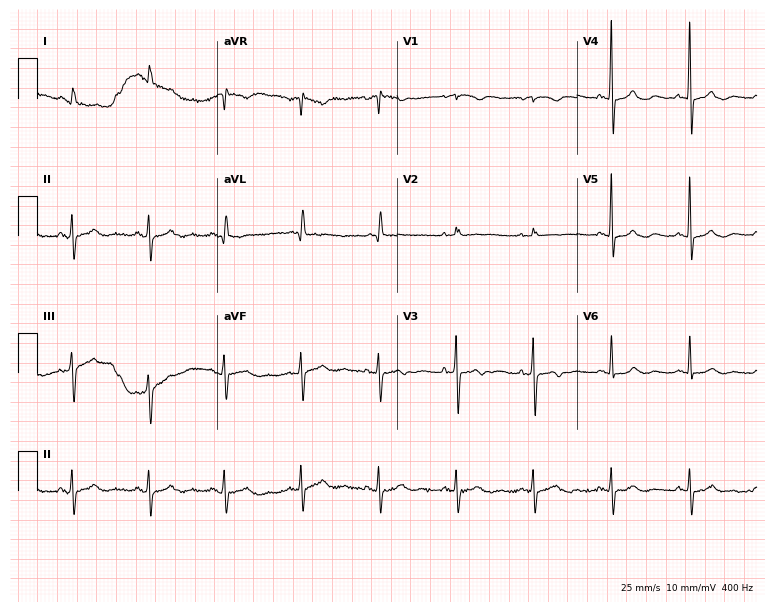
Resting 12-lead electrocardiogram. Patient: a 69-year-old female. None of these six findings is recorded: first-degree AV block, right bundle branch block, left bundle branch block, sinus bradycardia, atrial fibrillation, sinus tachycardia.